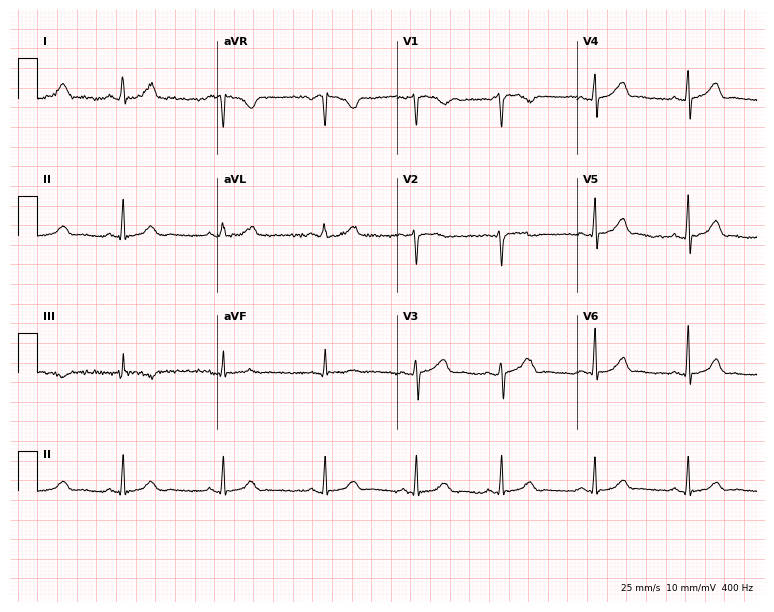
12-lead ECG from a female patient, 31 years old (7.3-second recording at 400 Hz). Recorded interpretation: within normal limits.